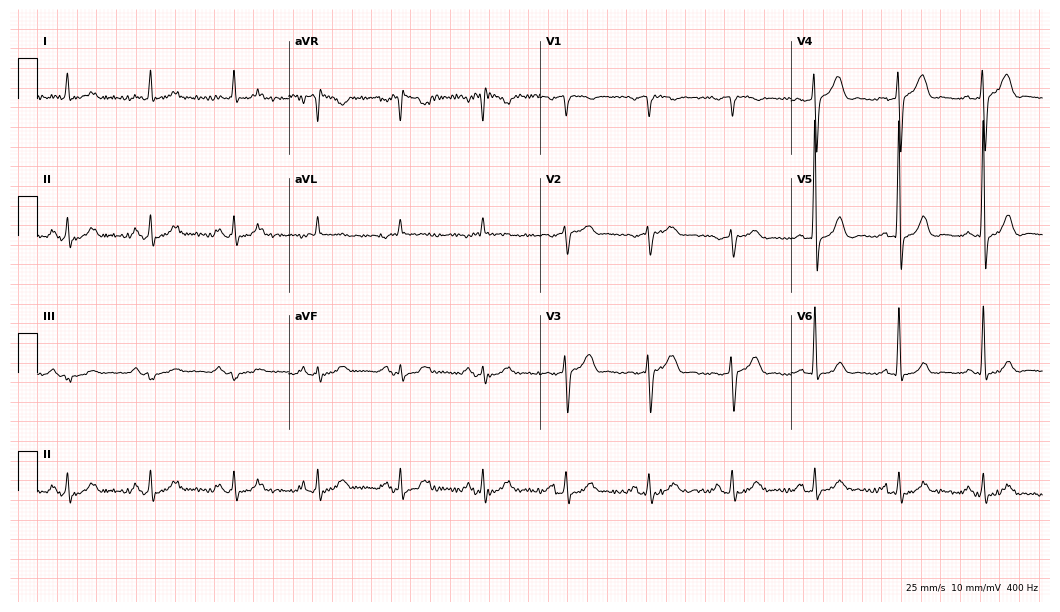
Resting 12-lead electrocardiogram (10.2-second recording at 400 Hz). Patient: a man, 69 years old. Read as a normal ECG.